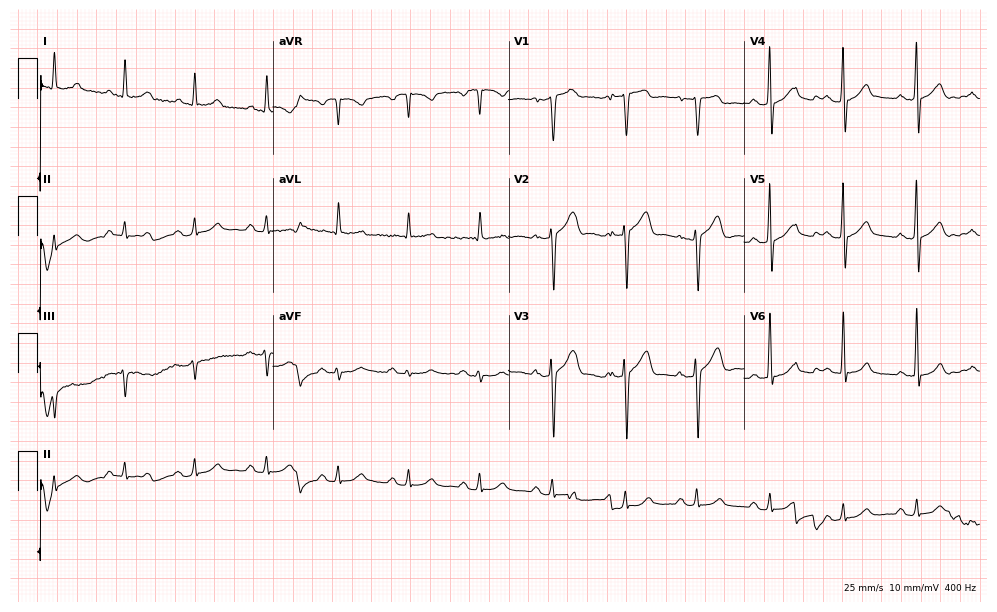
Standard 12-lead ECG recorded from a man, 49 years old. Read as a normal ECG.